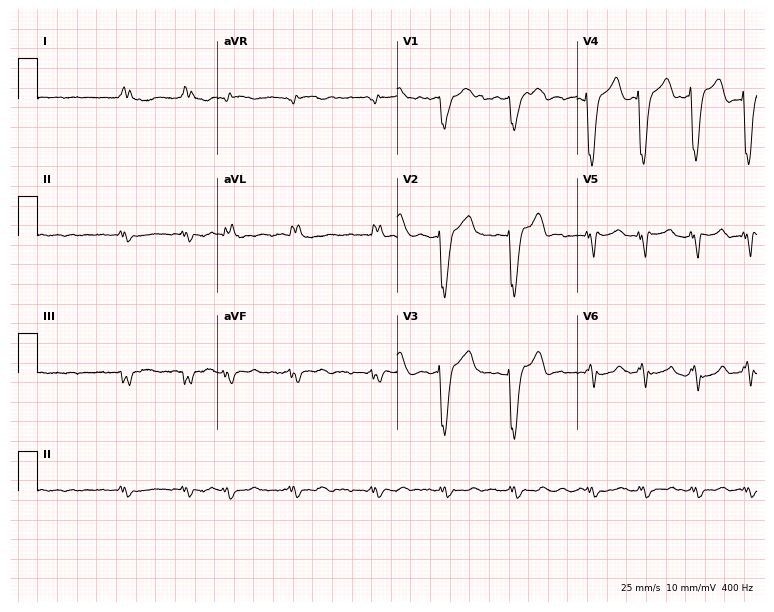
Resting 12-lead electrocardiogram. Patient: a male, 48 years old. The tracing shows left bundle branch block, atrial fibrillation.